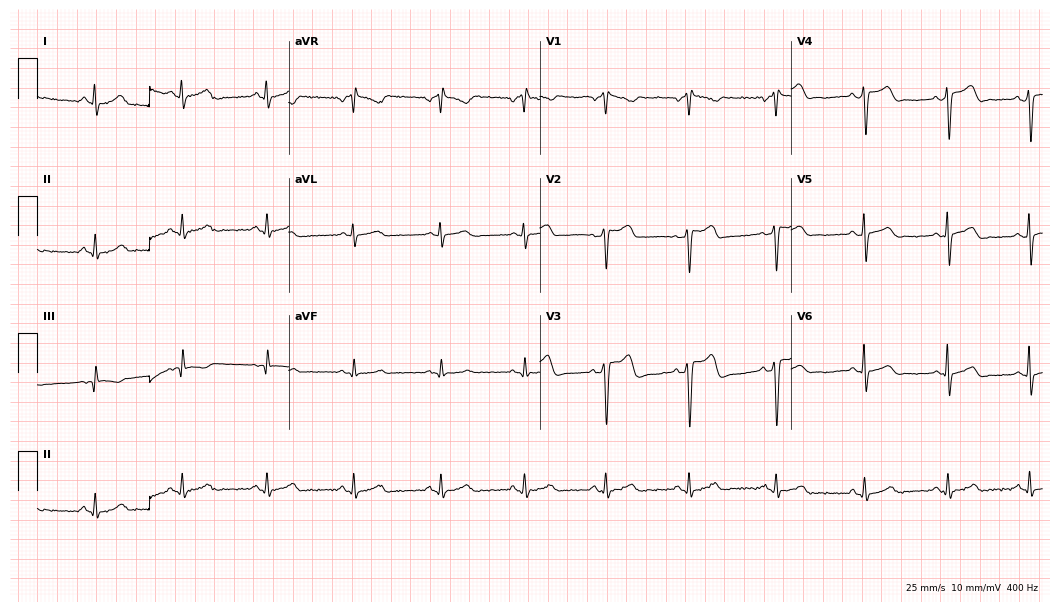
12-lead ECG from a 36-year-old male. No first-degree AV block, right bundle branch block (RBBB), left bundle branch block (LBBB), sinus bradycardia, atrial fibrillation (AF) or sinus tachycardia recorded for this tracing. Findings outside these six are not listed.